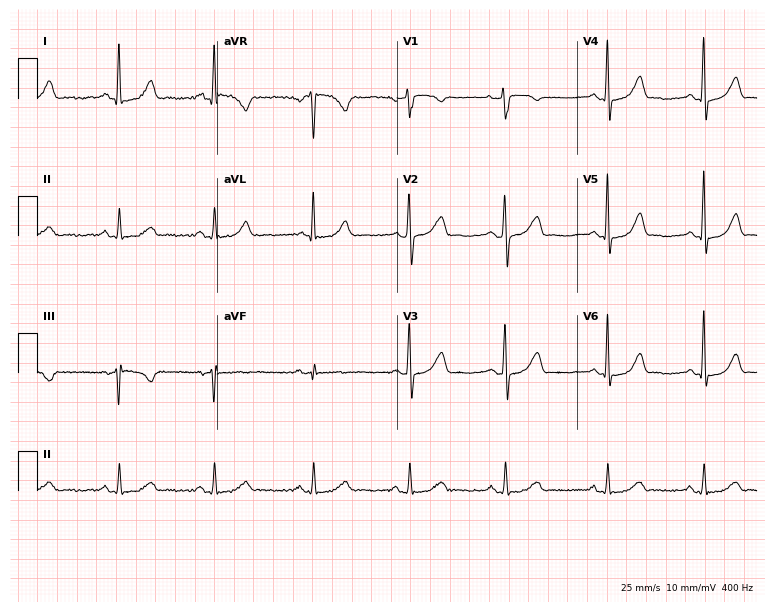
12-lead ECG (7.3-second recording at 400 Hz) from a female patient, 42 years old. Screened for six findings — first-degree AV block, right bundle branch block, left bundle branch block, sinus bradycardia, atrial fibrillation, sinus tachycardia — none is recorded. Other findings, if any, are not listed.